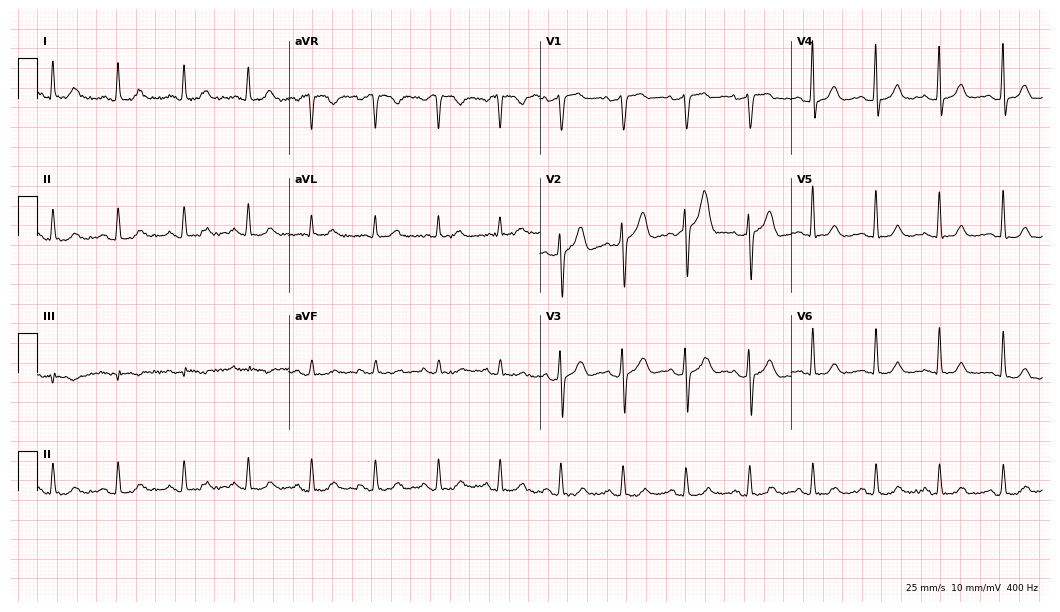
Standard 12-lead ECG recorded from a 69-year-old male. Read as a normal ECG.